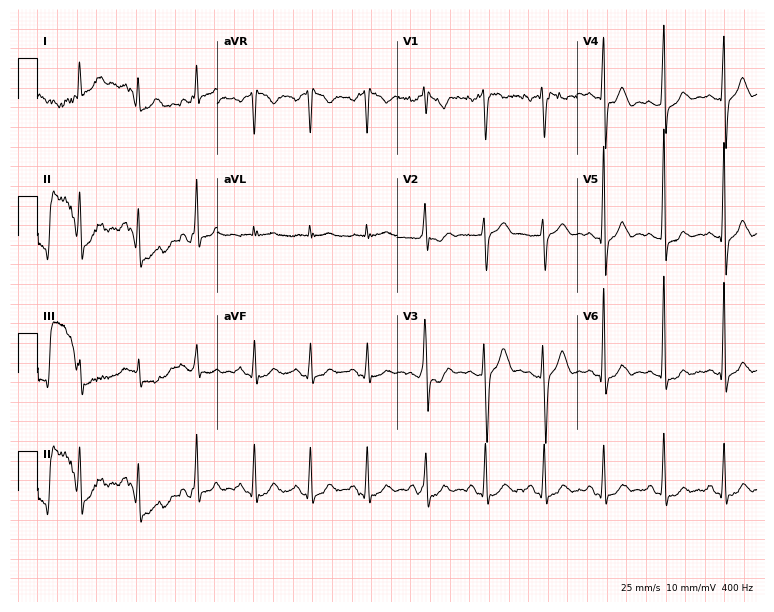
12-lead ECG (7.3-second recording at 400 Hz) from a male, 54 years old. Screened for six findings — first-degree AV block, right bundle branch block (RBBB), left bundle branch block (LBBB), sinus bradycardia, atrial fibrillation (AF), sinus tachycardia — none is recorded. Only these six findings were labelled.